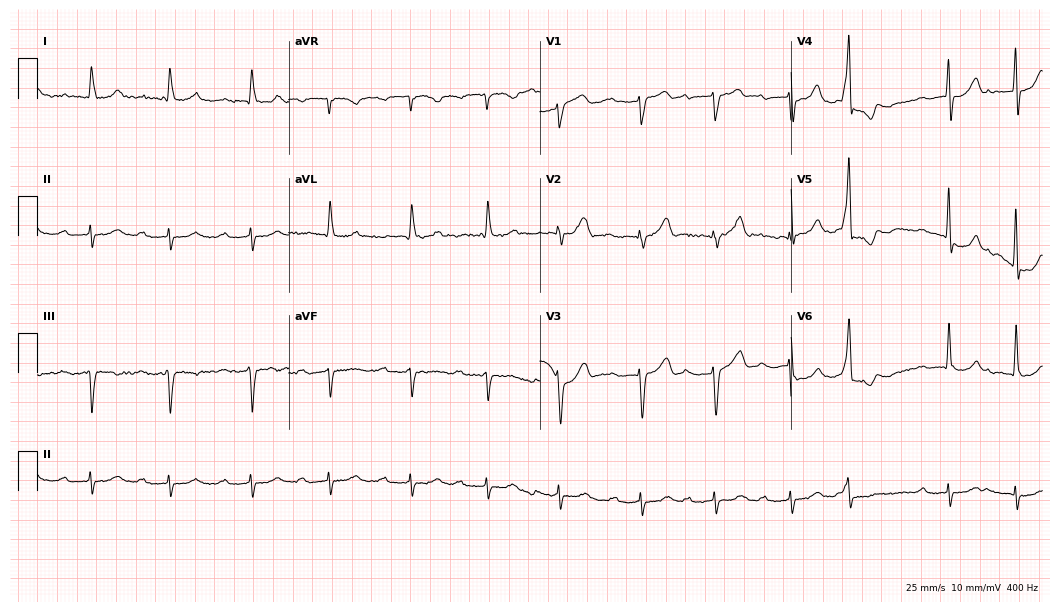
12-lead ECG from a woman, 80 years old. Findings include first-degree AV block.